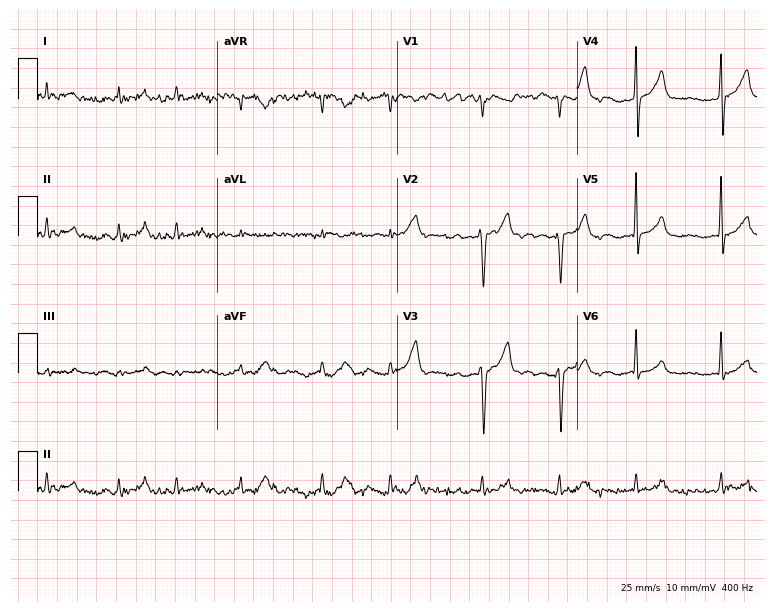
Resting 12-lead electrocardiogram. Patient: a man, 74 years old. The tracing shows atrial fibrillation.